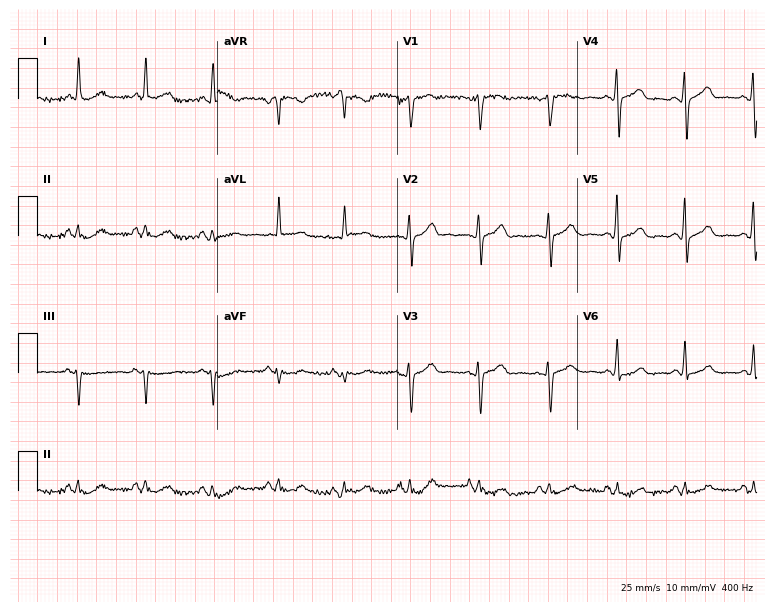
ECG — a 64-year-old female. Labelled as a normal ECG.